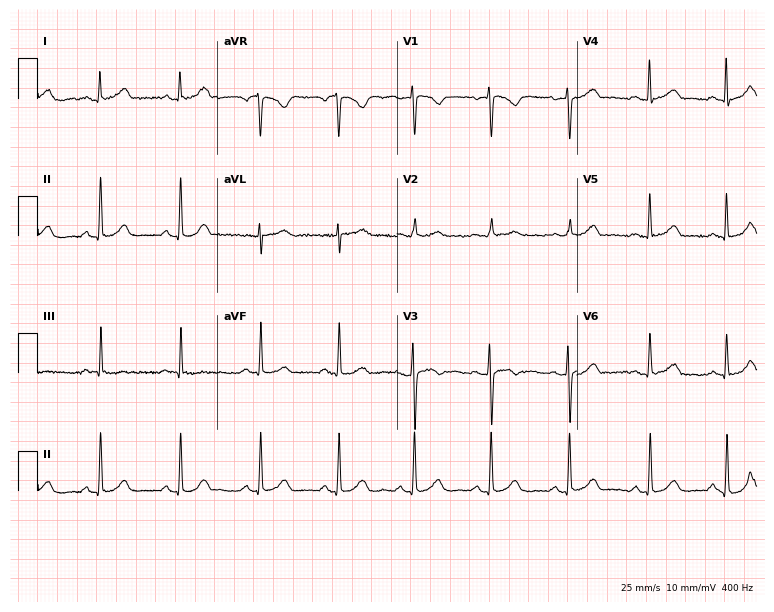
Electrocardiogram (7.3-second recording at 400 Hz), a 27-year-old woman. Overall reading on record: normal ECG.